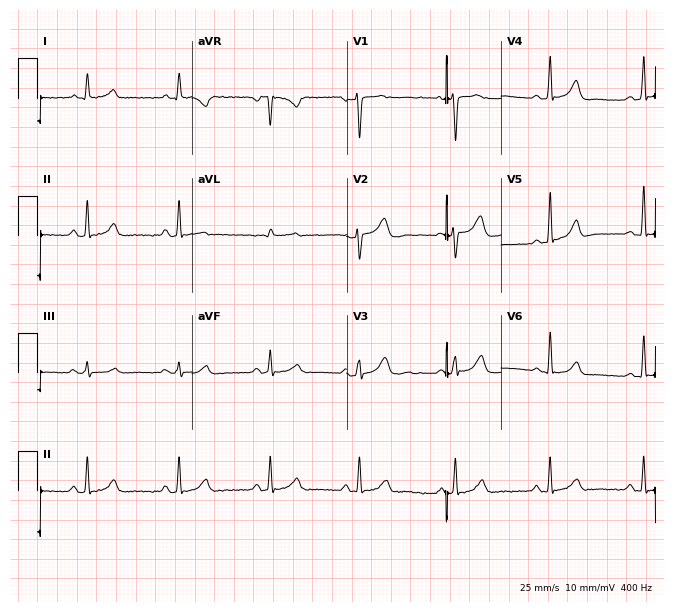
Resting 12-lead electrocardiogram (6.3-second recording at 400 Hz). Patient: a 35-year-old woman. None of these six findings is recorded: first-degree AV block, right bundle branch block, left bundle branch block, sinus bradycardia, atrial fibrillation, sinus tachycardia.